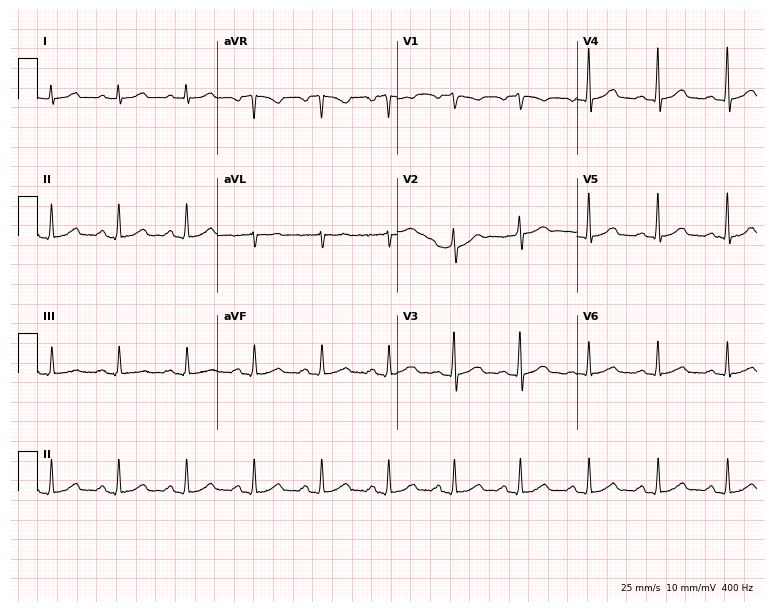
Electrocardiogram (7.3-second recording at 400 Hz), a male, 43 years old. Overall reading on record: normal ECG.